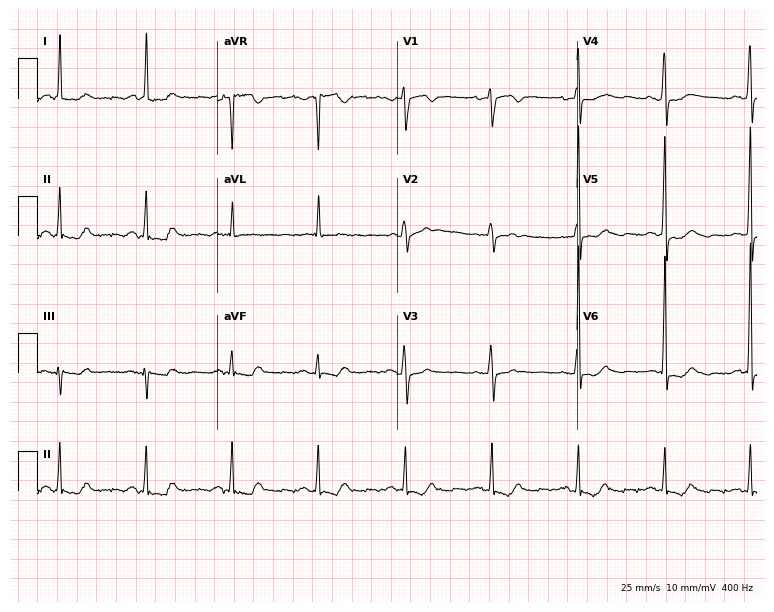
Standard 12-lead ECG recorded from a 78-year-old female. None of these six findings is recorded: first-degree AV block, right bundle branch block, left bundle branch block, sinus bradycardia, atrial fibrillation, sinus tachycardia. Other findings, if any, are not listed.